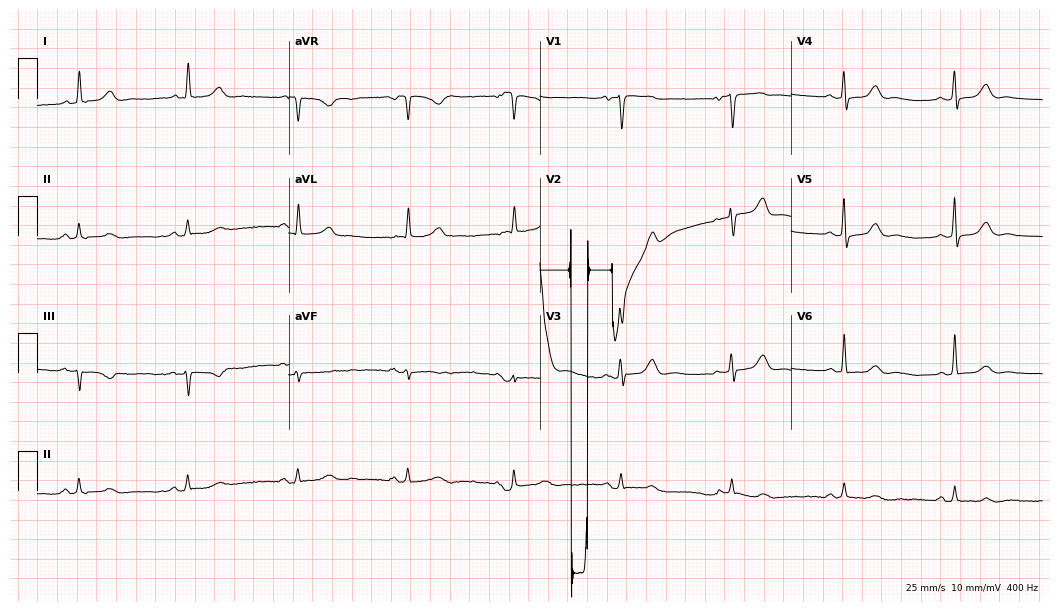
12-lead ECG from a 78-year-old woman. No first-degree AV block, right bundle branch block, left bundle branch block, sinus bradycardia, atrial fibrillation or sinus tachycardia recorded for this tracing.